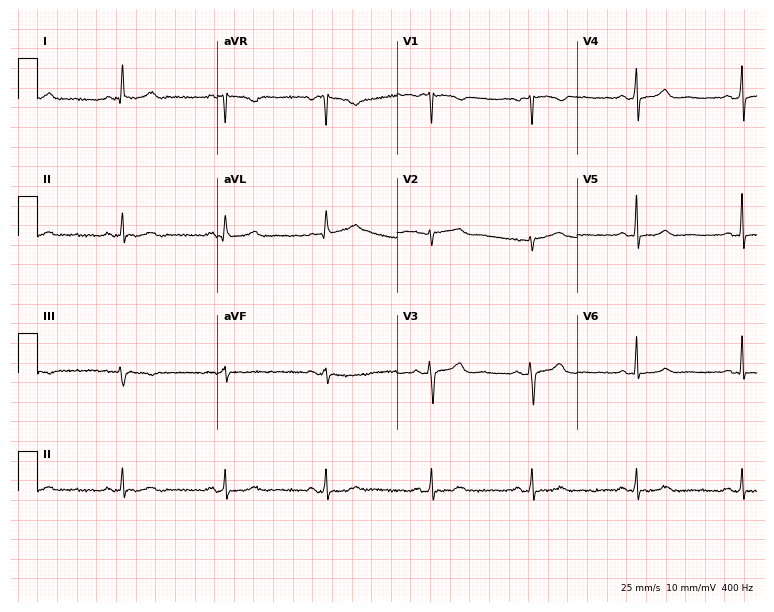
12-lead ECG (7.3-second recording at 400 Hz) from a female, 47 years old. Screened for six findings — first-degree AV block, right bundle branch block, left bundle branch block, sinus bradycardia, atrial fibrillation, sinus tachycardia — none is recorded. Findings outside these six are not listed.